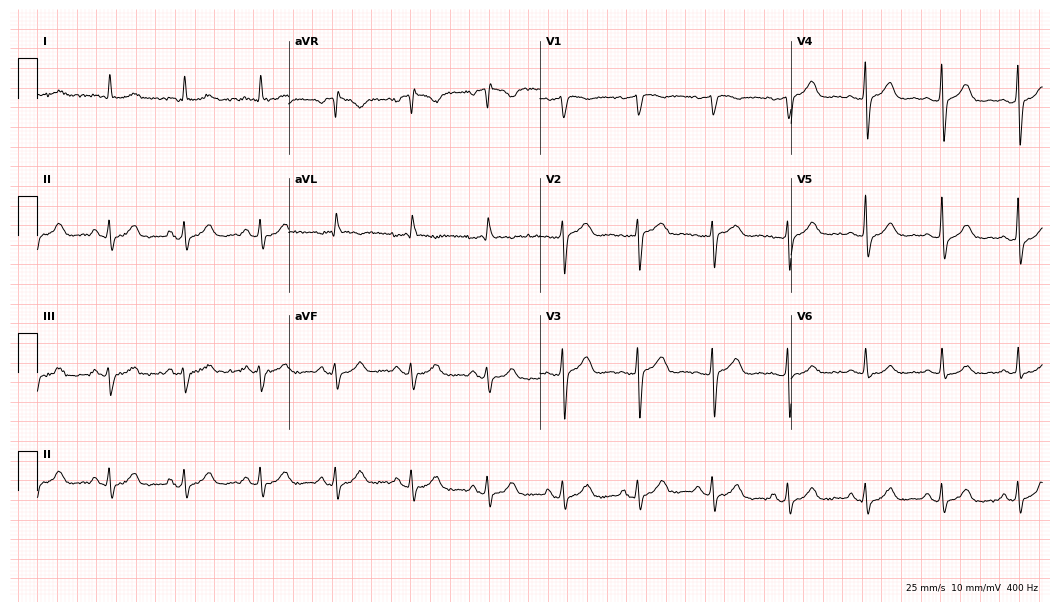
ECG (10.2-second recording at 400 Hz) — a male, 56 years old. Labelled as a normal ECG.